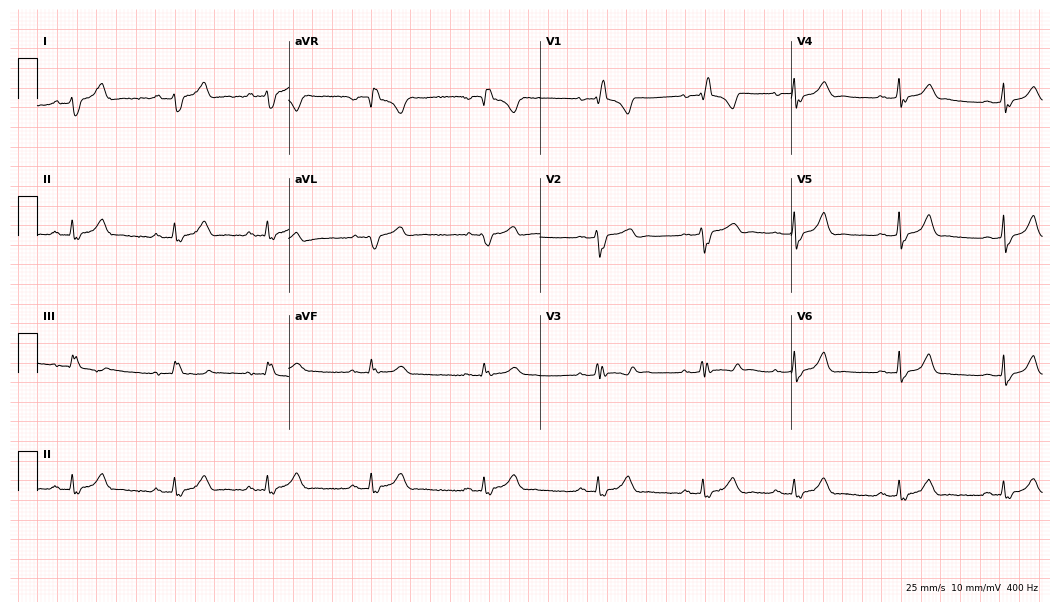
12-lead ECG from a 27-year-old woman (10.2-second recording at 400 Hz). Shows right bundle branch block.